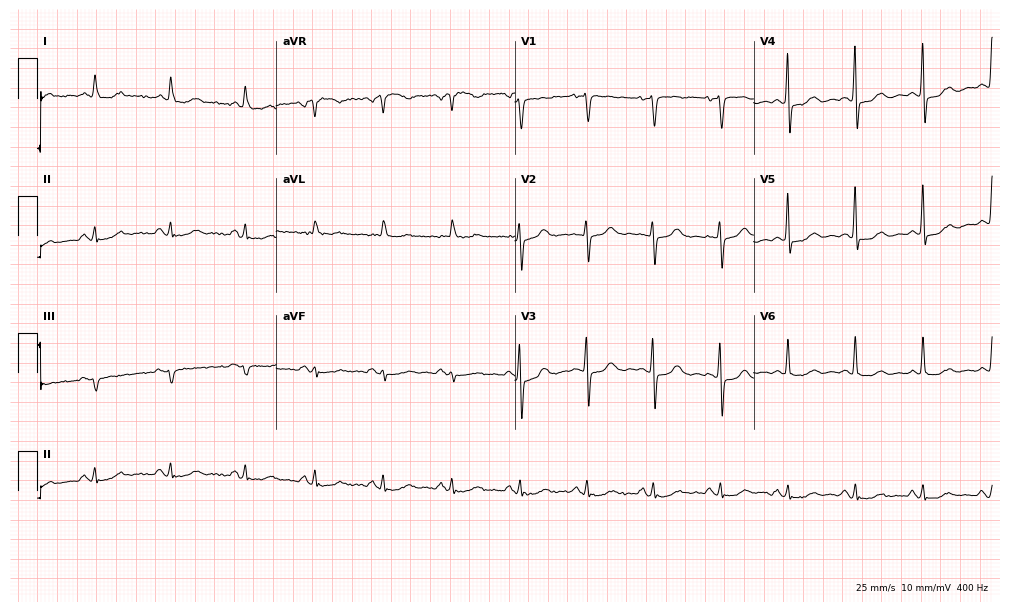
Electrocardiogram, a man, 71 years old. Of the six screened findings (first-degree AV block, right bundle branch block, left bundle branch block, sinus bradycardia, atrial fibrillation, sinus tachycardia), none is recorded.